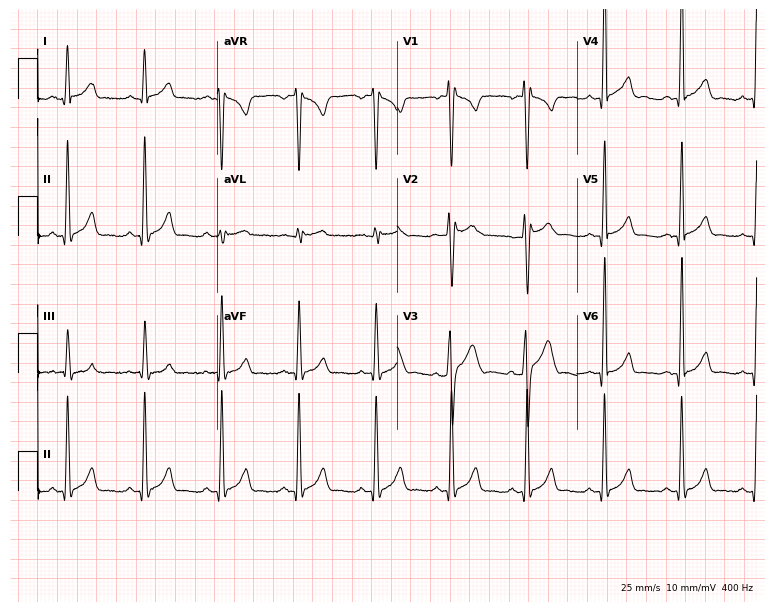
Electrocardiogram, a 27-year-old man. Of the six screened findings (first-degree AV block, right bundle branch block (RBBB), left bundle branch block (LBBB), sinus bradycardia, atrial fibrillation (AF), sinus tachycardia), none is recorded.